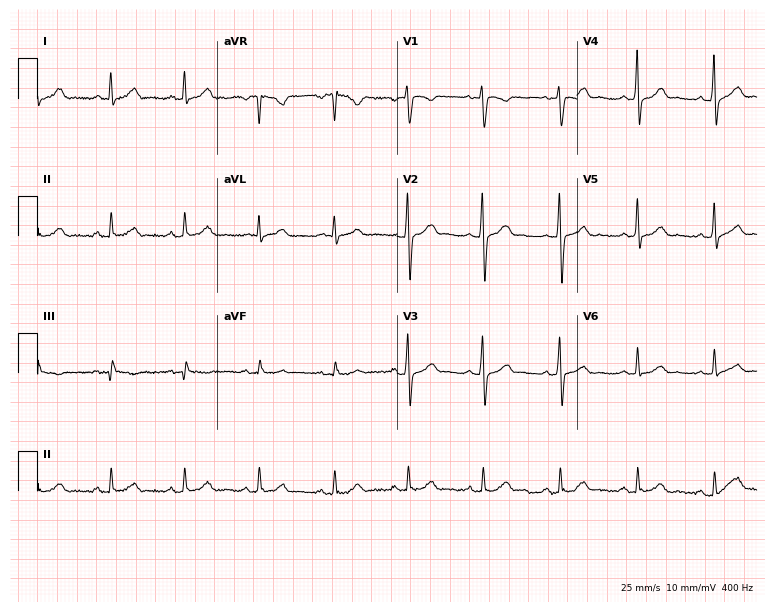
Standard 12-lead ECG recorded from a man, 29 years old. None of these six findings is recorded: first-degree AV block, right bundle branch block, left bundle branch block, sinus bradycardia, atrial fibrillation, sinus tachycardia. Only these six findings were labelled.